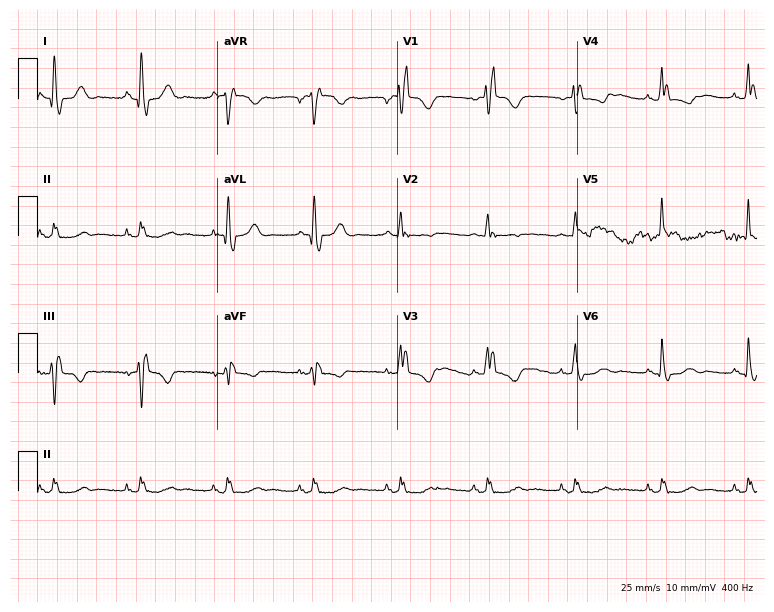
Resting 12-lead electrocardiogram. Patient: a female, 71 years old. The tracing shows right bundle branch block.